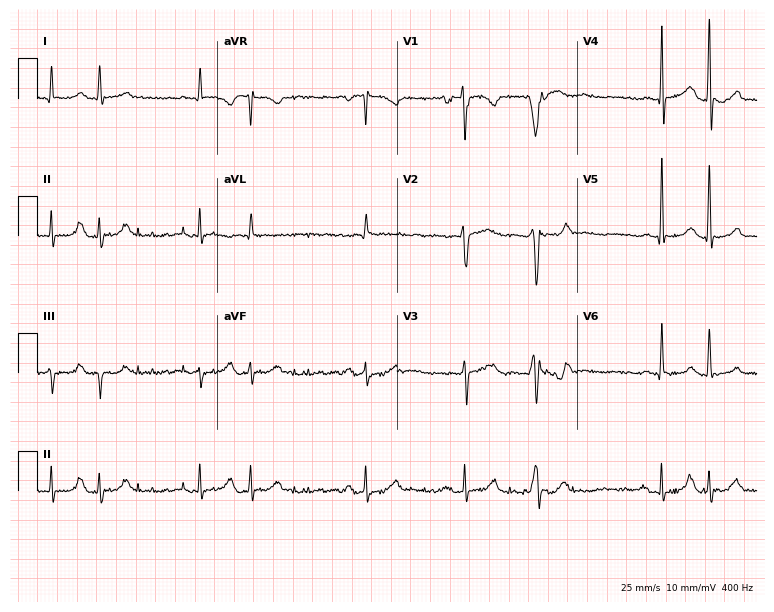
Electrocardiogram (7.3-second recording at 400 Hz), a man, 81 years old. Overall reading on record: normal ECG.